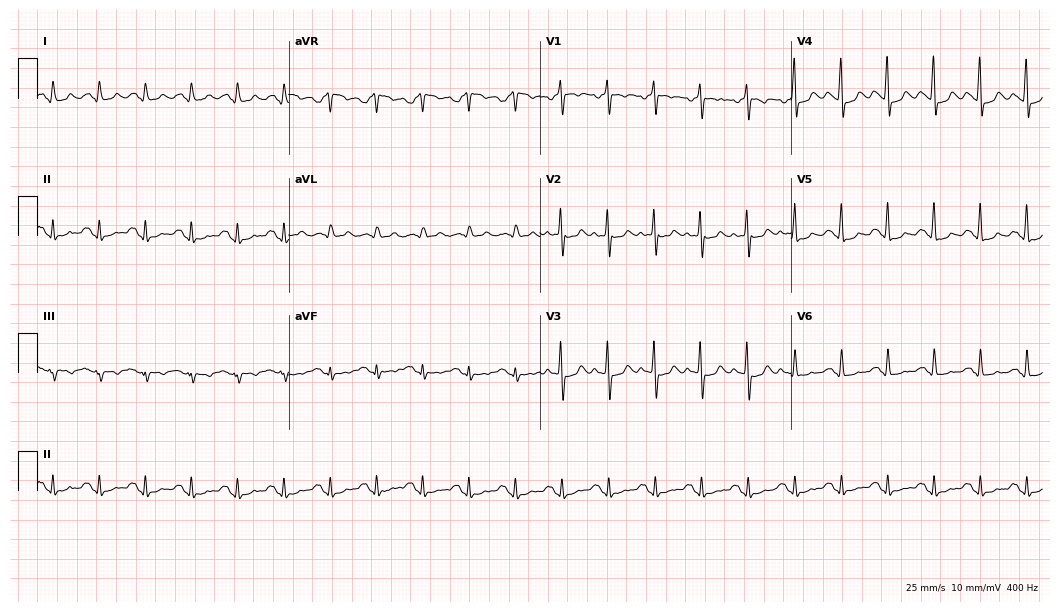
ECG — a 48-year-old female patient. Screened for six findings — first-degree AV block, right bundle branch block (RBBB), left bundle branch block (LBBB), sinus bradycardia, atrial fibrillation (AF), sinus tachycardia — none is recorded. Only these six findings were labelled.